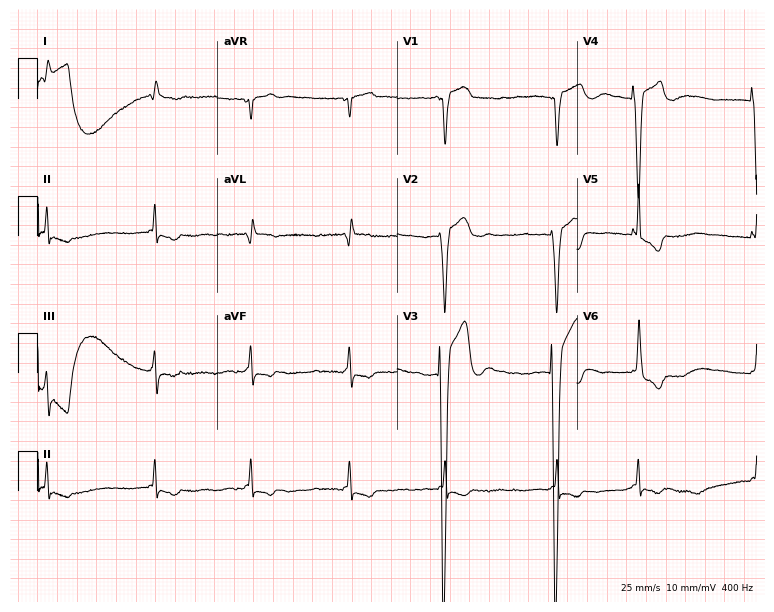
Resting 12-lead electrocardiogram (7.3-second recording at 400 Hz). Patient: an 81-year-old male. The tracing shows left bundle branch block (LBBB), atrial fibrillation (AF).